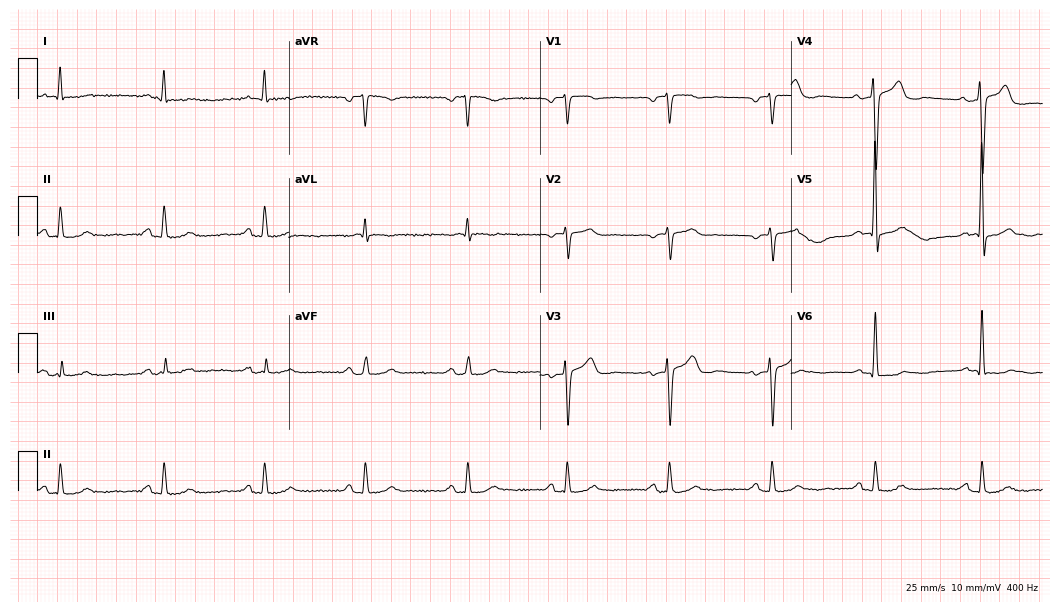
12-lead ECG from a male patient, 76 years old. Labelled as a normal ECG.